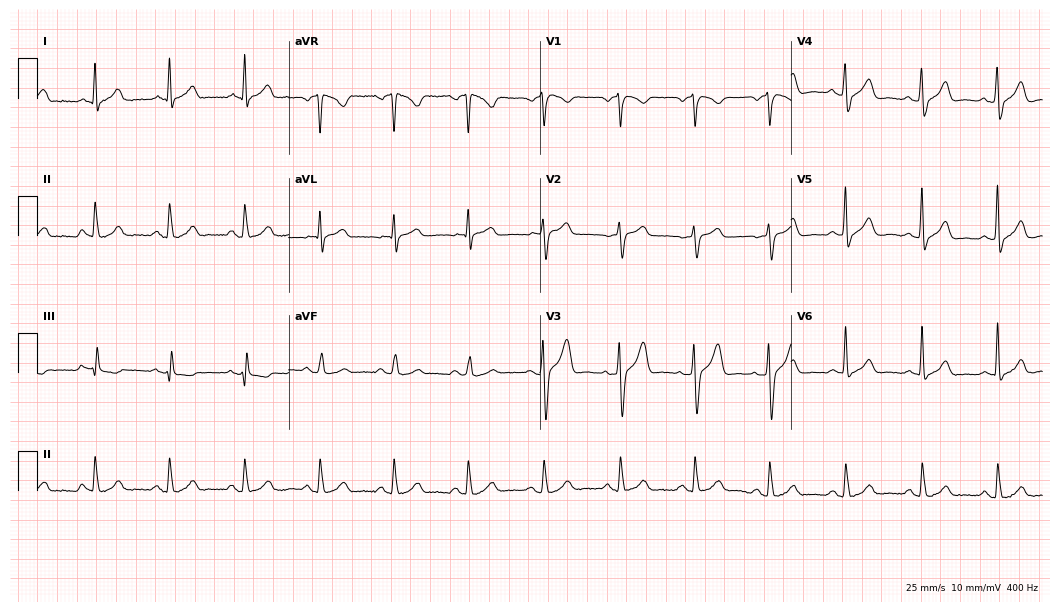
12-lead ECG from a male, 64 years old (10.2-second recording at 400 Hz). Recorded interpretation: within normal limits.